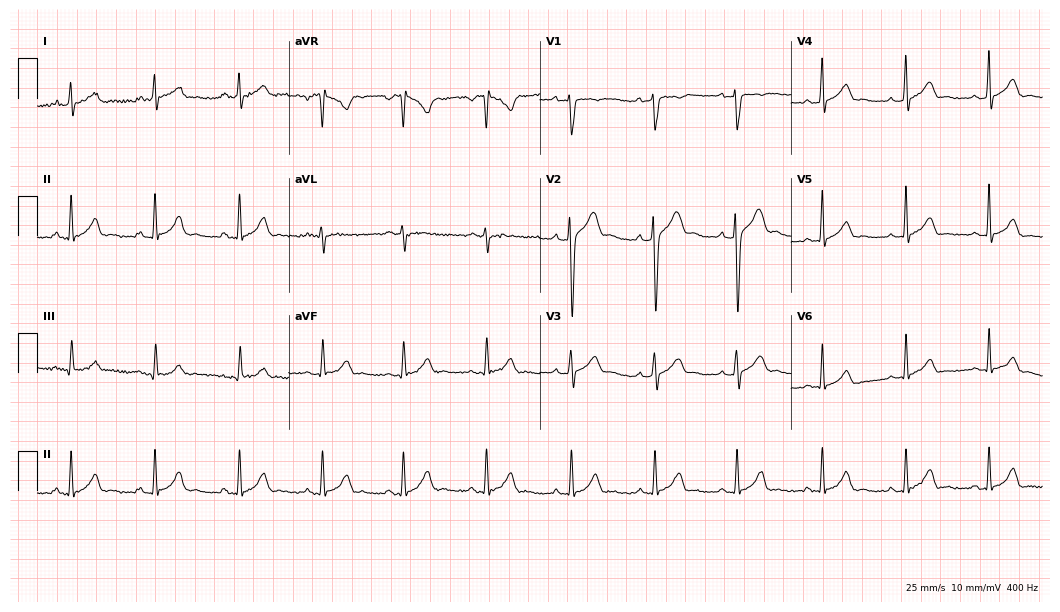
12-lead ECG from a 29-year-old male patient. Recorded interpretation: within normal limits.